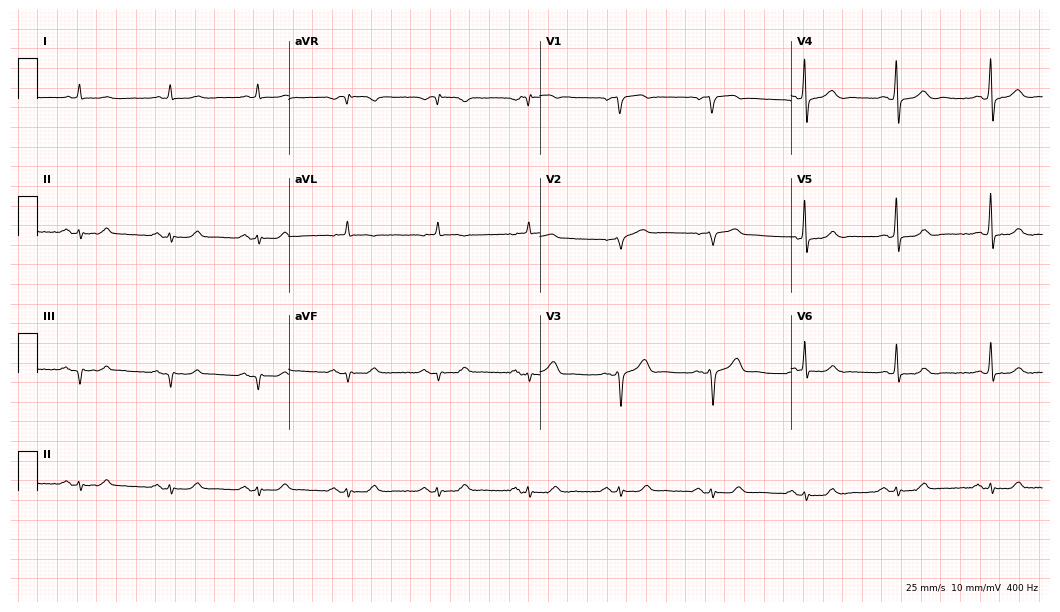
ECG — a 77-year-old male patient. Labelled as a normal ECG.